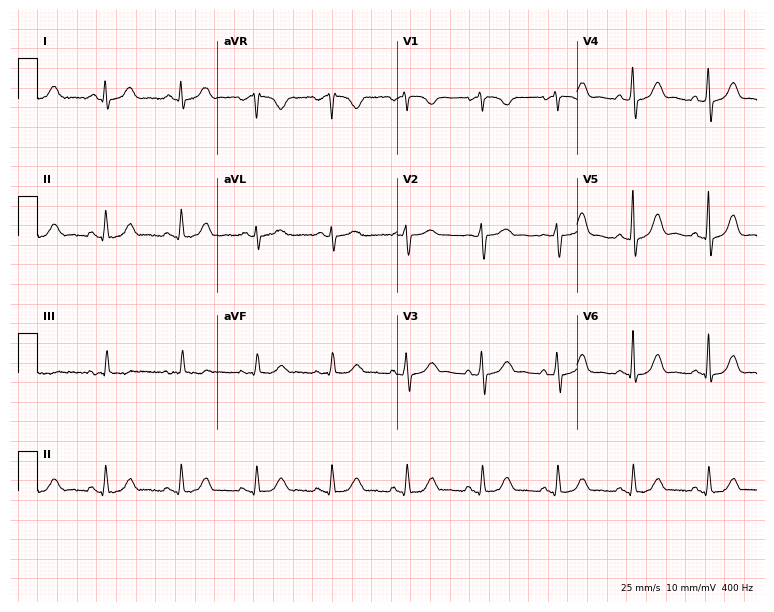
12-lead ECG from a 71-year-old woman. Recorded interpretation: within normal limits.